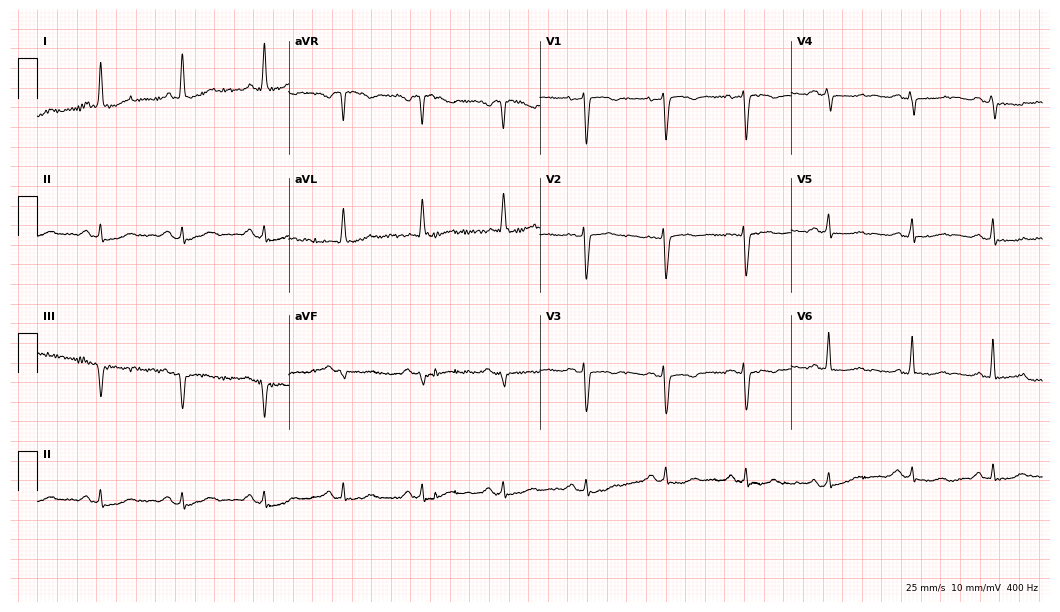
12-lead ECG from a female, 59 years old (10.2-second recording at 400 Hz). No first-degree AV block, right bundle branch block (RBBB), left bundle branch block (LBBB), sinus bradycardia, atrial fibrillation (AF) or sinus tachycardia recorded for this tracing.